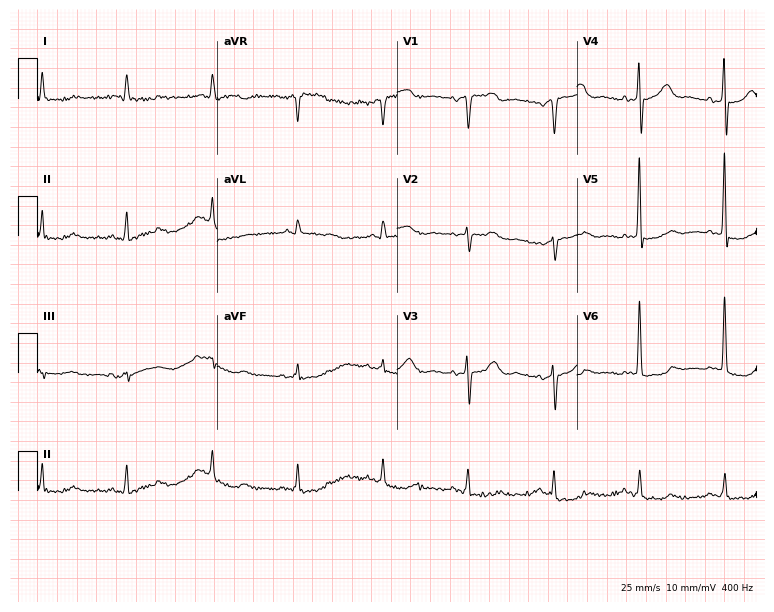
12-lead ECG (7.3-second recording at 400 Hz) from an 85-year-old man. Screened for six findings — first-degree AV block, right bundle branch block (RBBB), left bundle branch block (LBBB), sinus bradycardia, atrial fibrillation (AF), sinus tachycardia — none is recorded. Other findings, if any, are not listed.